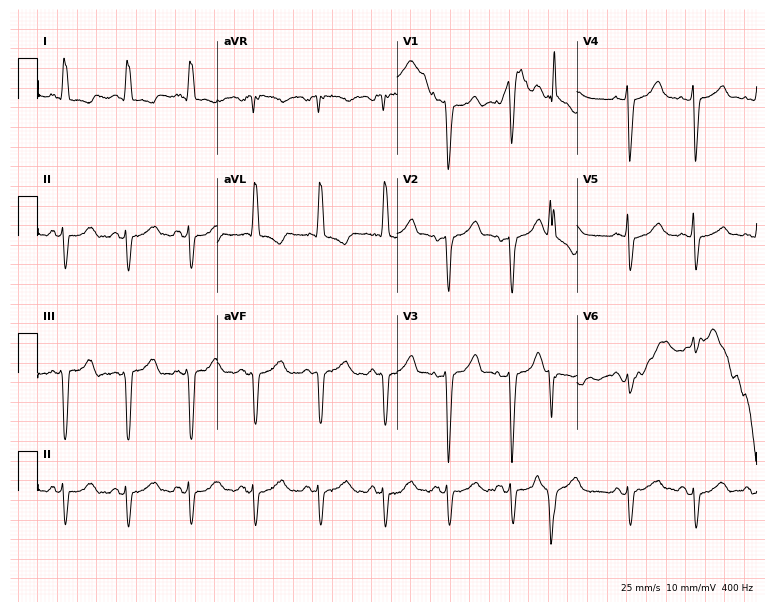
ECG (7.3-second recording at 400 Hz) — a female, 83 years old. Screened for six findings — first-degree AV block, right bundle branch block (RBBB), left bundle branch block (LBBB), sinus bradycardia, atrial fibrillation (AF), sinus tachycardia — none is recorded.